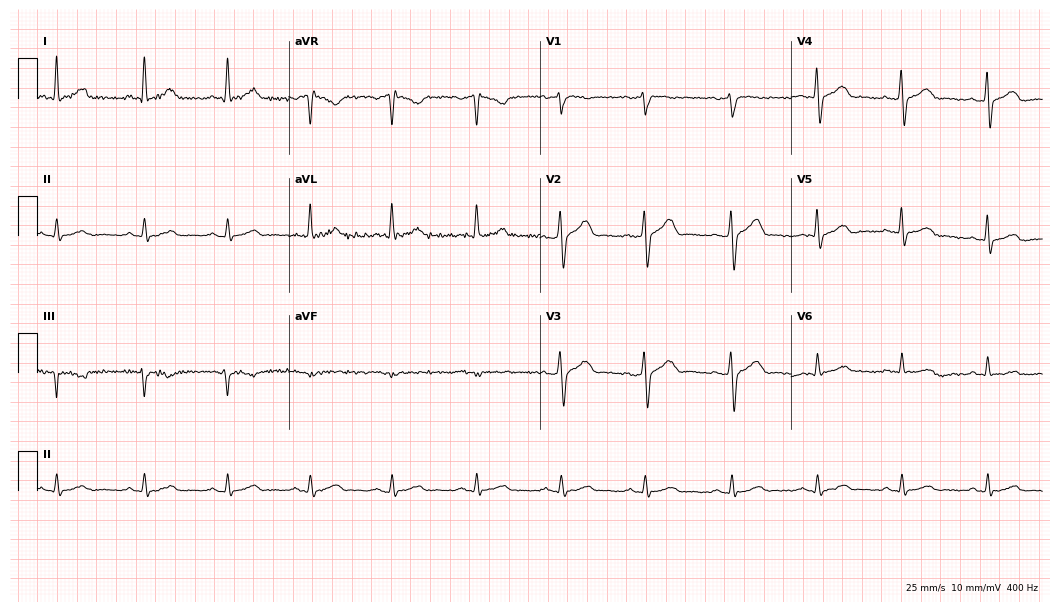
Resting 12-lead electrocardiogram. Patient: a 53-year-old male. Read as a normal ECG.